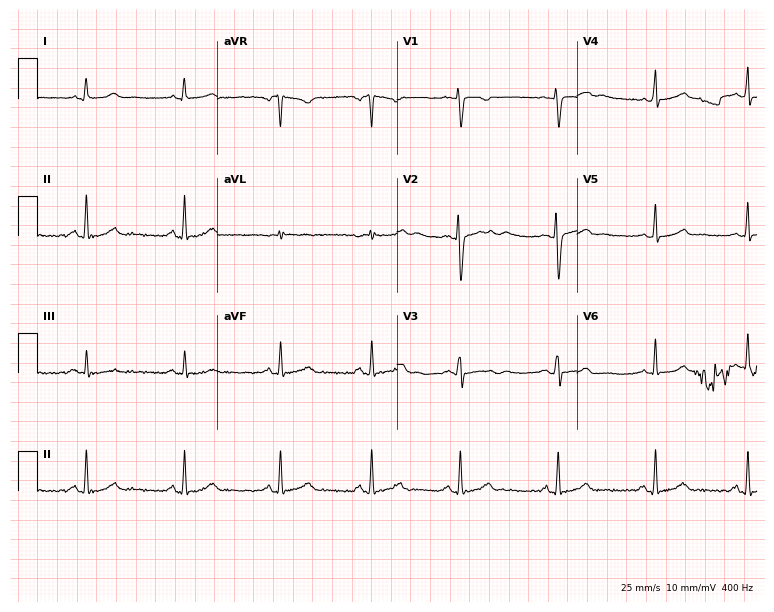
Electrocardiogram (7.3-second recording at 400 Hz), a female, 22 years old. Of the six screened findings (first-degree AV block, right bundle branch block, left bundle branch block, sinus bradycardia, atrial fibrillation, sinus tachycardia), none is recorded.